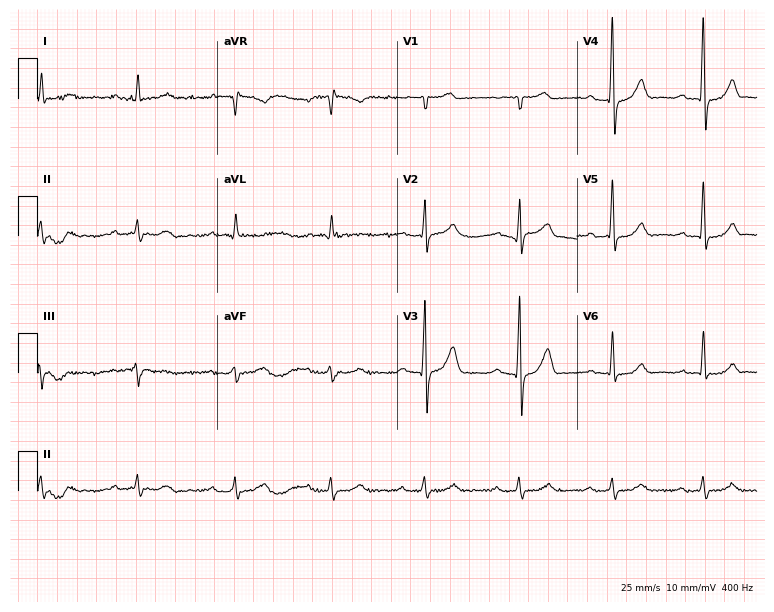
12-lead ECG from a male patient, 71 years old. Recorded interpretation: within normal limits.